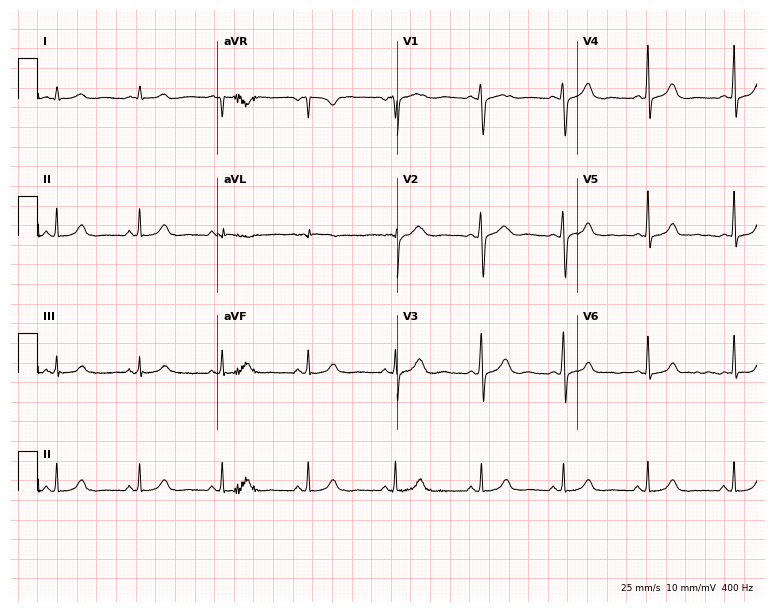
12-lead ECG from a 36-year-old woman. Recorded interpretation: within normal limits.